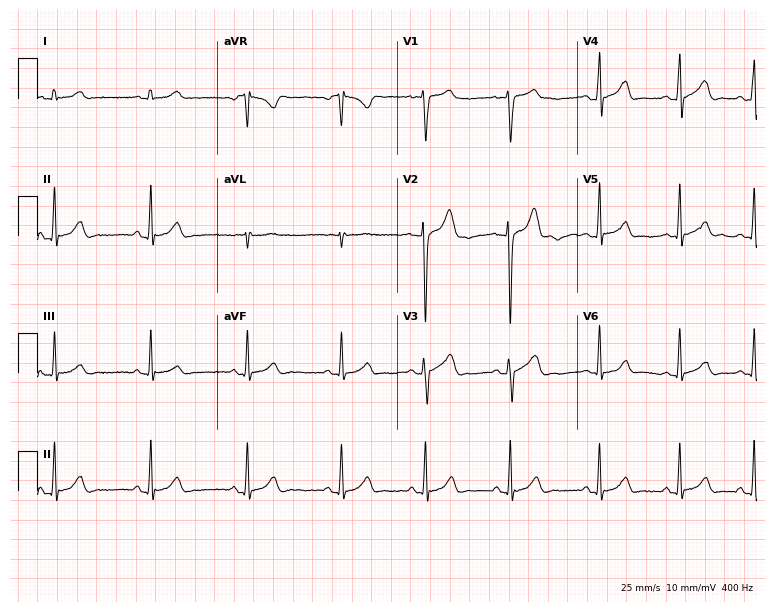
12-lead ECG (7.3-second recording at 400 Hz) from a male, 29 years old. Labelled as a normal ECG.